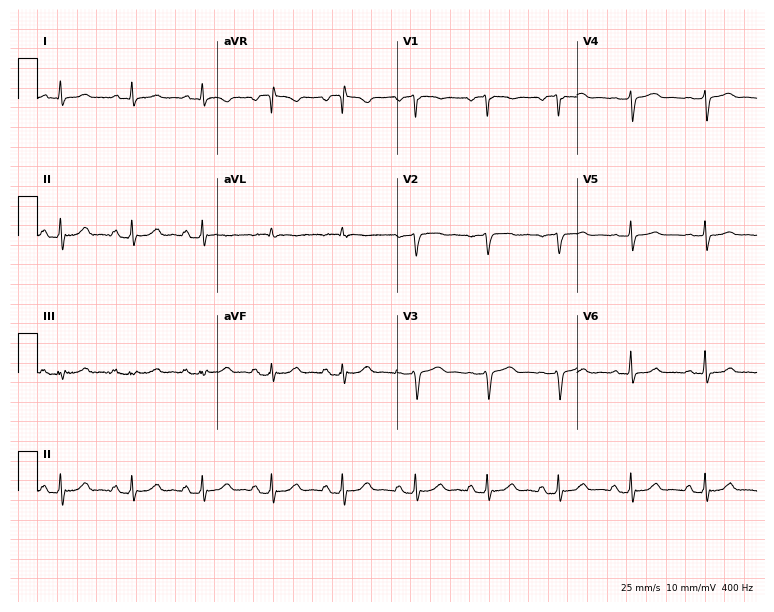
12-lead ECG from a 61-year-old male patient. Screened for six findings — first-degree AV block, right bundle branch block, left bundle branch block, sinus bradycardia, atrial fibrillation, sinus tachycardia — none is recorded.